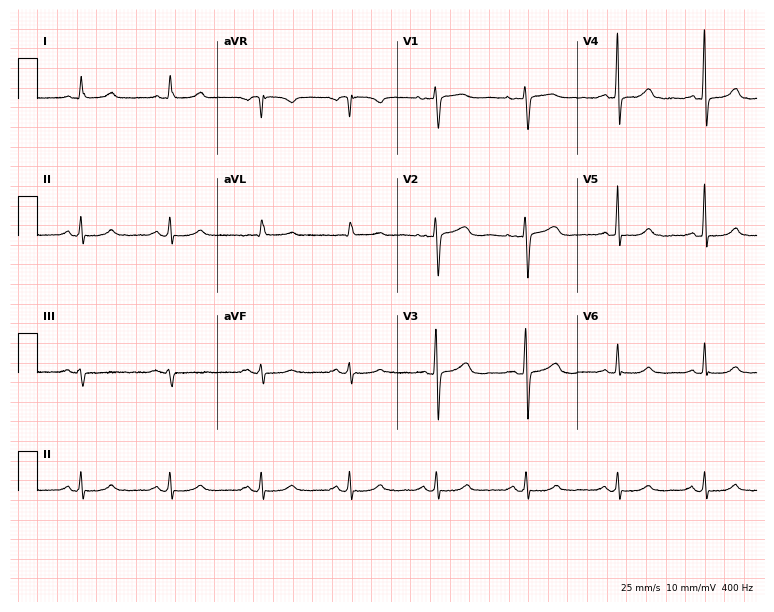
12-lead ECG (7.3-second recording at 400 Hz) from a female patient, 64 years old. Labelled as a normal ECG.